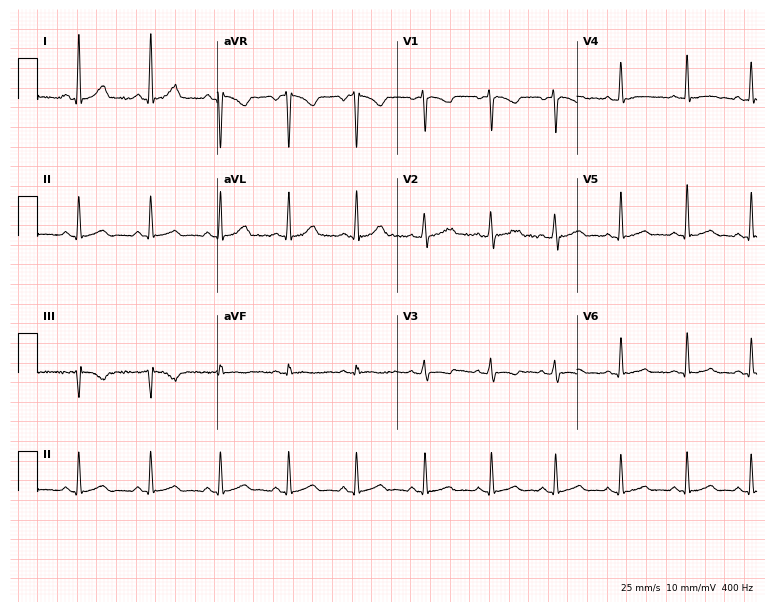
Resting 12-lead electrocardiogram (7.3-second recording at 400 Hz). Patient: a 34-year-old woman. Read as a normal ECG.